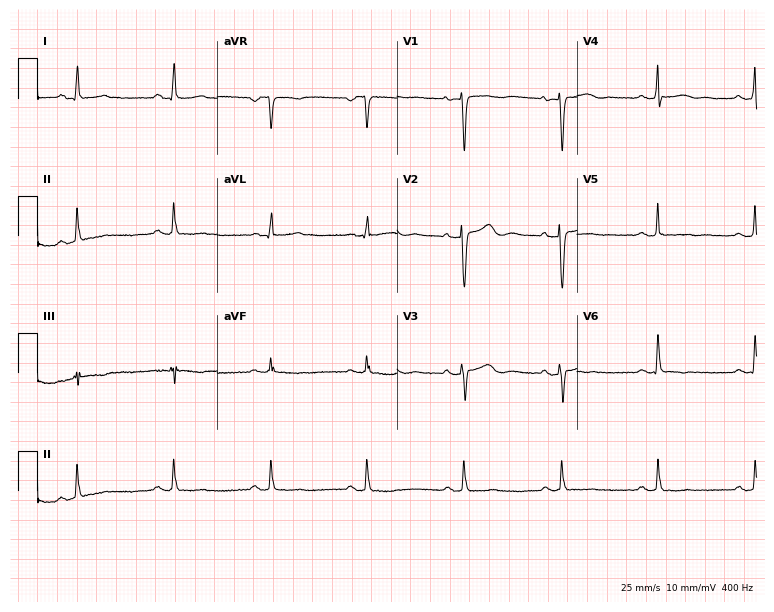
12-lead ECG from a 36-year-old female (7.3-second recording at 400 Hz). No first-degree AV block, right bundle branch block, left bundle branch block, sinus bradycardia, atrial fibrillation or sinus tachycardia recorded for this tracing.